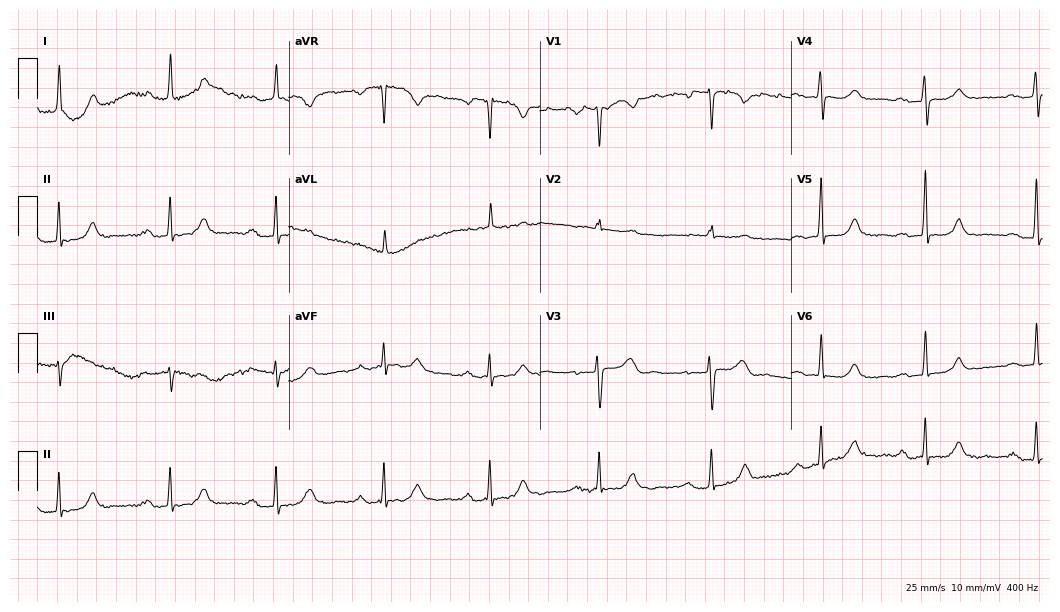
12-lead ECG from a 72-year-old woman (10.2-second recording at 400 Hz). Shows first-degree AV block.